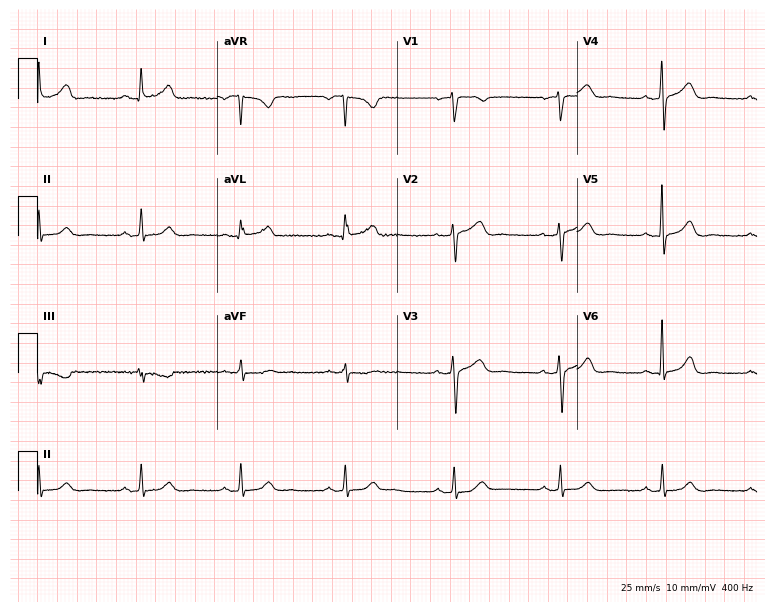
Standard 12-lead ECG recorded from a female patient, 45 years old (7.3-second recording at 400 Hz). Read as a normal ECG.